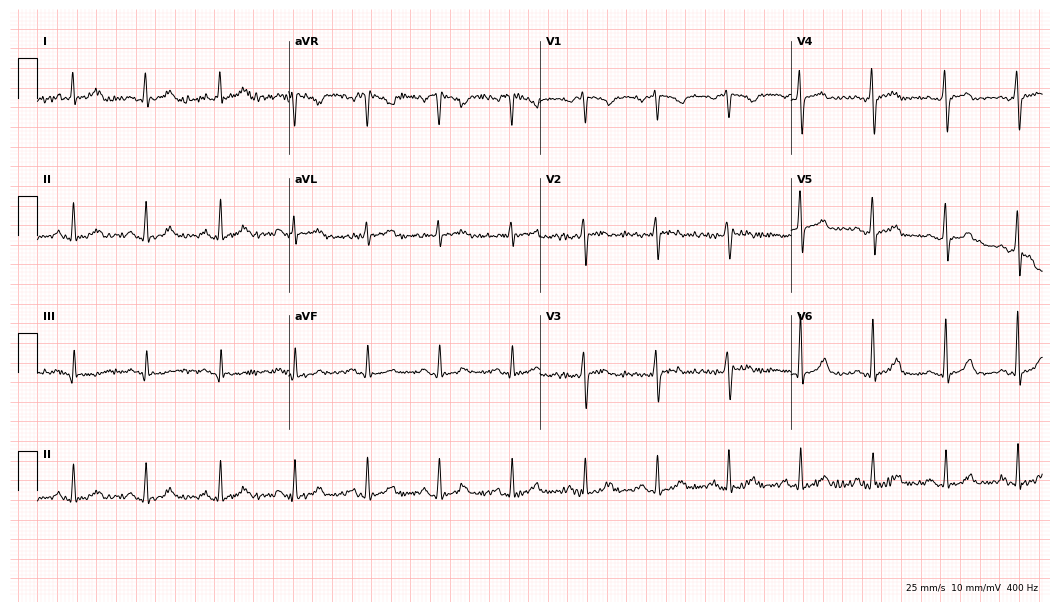
12-lead ECG from a 53-year-old female patient. Labelled as a normal ECG.